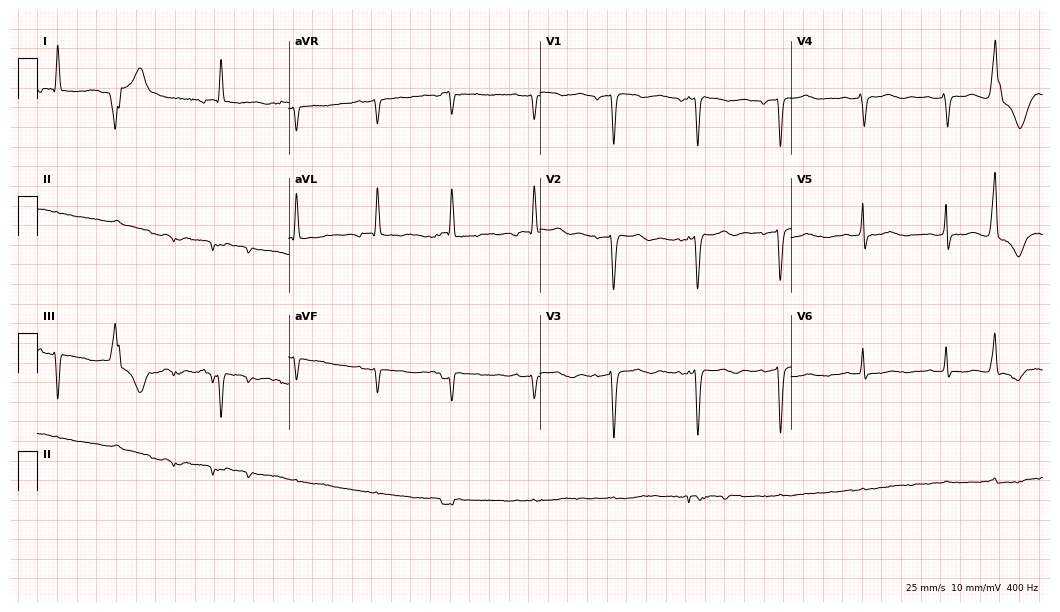
Resting 12-lead electrocardiogram (10.2-second recording at 400 Hz). Patient: a female, 77 years old. None of these six findings is recorded: first-degree AV block, right bundle branch block (RBBB), left bundle branch block (LBBB), sinus bradycardia, atrial fibrillation (AF), sinus tachycardia.